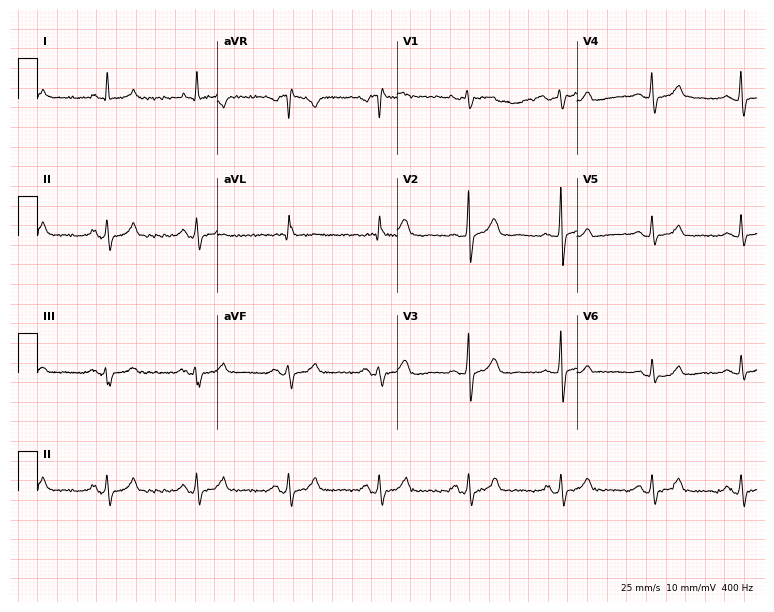
ECG (7.3-second recording at 400 Hz) — a female patient, 71 years old. Screened for six findings — first-degree AV block, right bundle branch block, left bundle branch block, sinus bradycardia, atrial fibrillation, sinus tachycardia — none is recorded. Other findings, if any, are not listed.